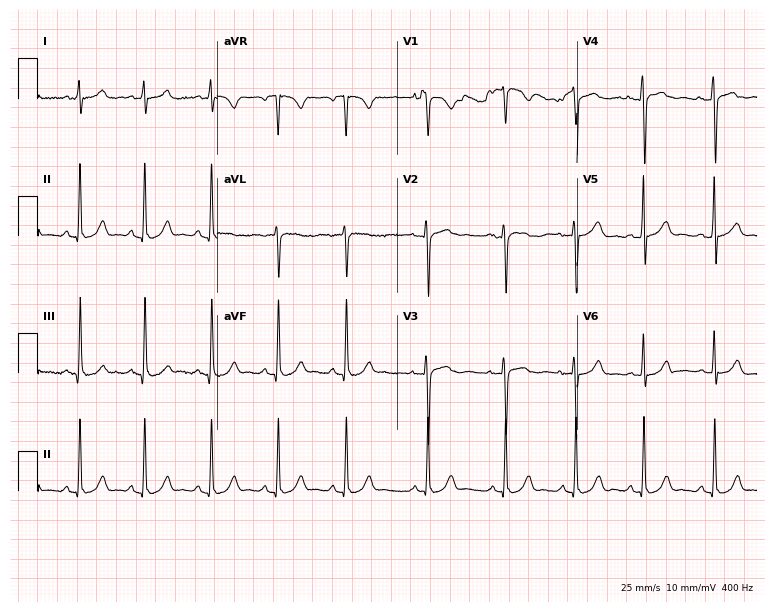
12-lead ECG from a 21-year-old female (7.3-second recording at 400 Hz). Recorded interpretation: within normal limits.